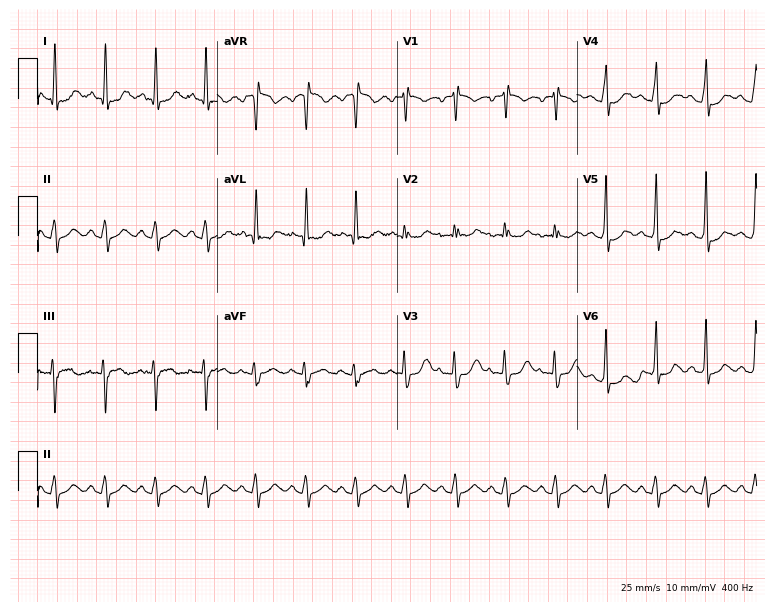
12-lead ECG from a woman, 25 years old (7.3-second recording at 400 Hz). Shows sinus tachycardia (a sinus rate of 100 beats per minute or more).